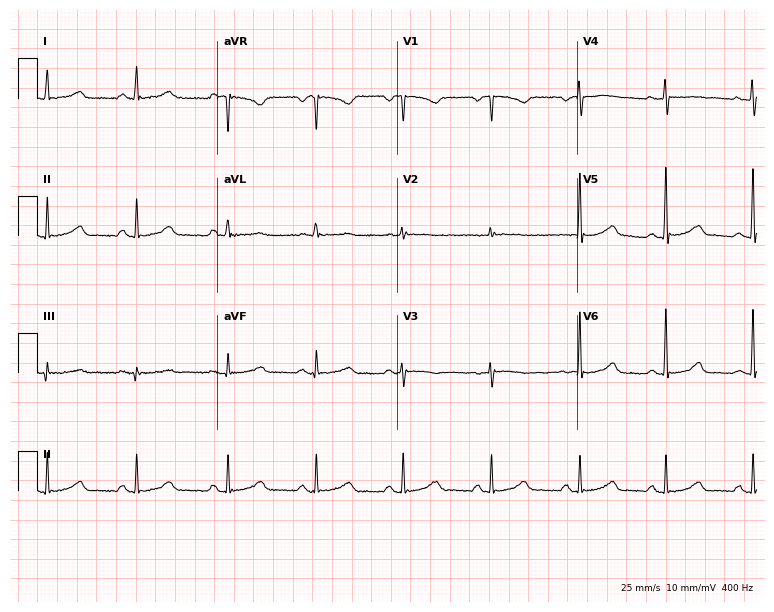
Resting 12-lead electrocardiogram (7.3-second recording at 400 Hz). Patient: a 39-year-old female. None of these six findings is recorded: first-degree AV block, right bundle branch block, left bundle branch block, sinus bradycardia, atrial fibrillation, sinus tachycardia.